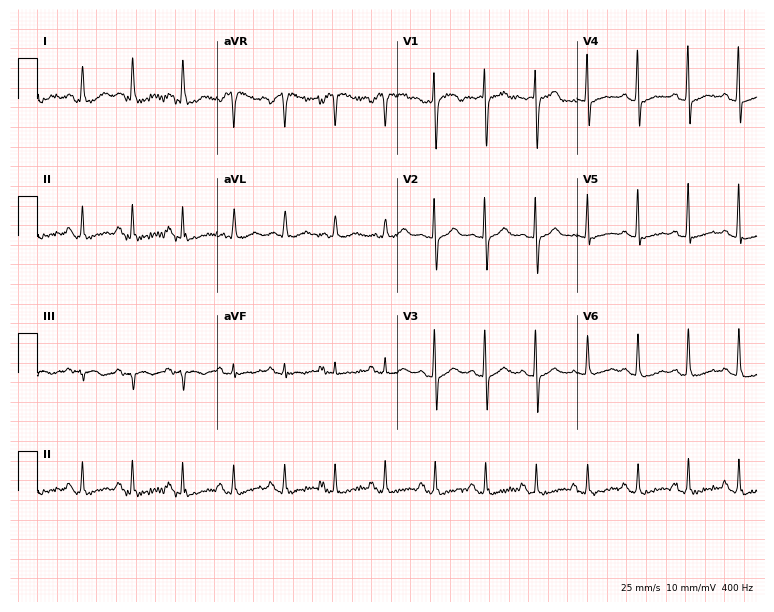
ECG — a woman, 59 years old. Findings include sinus tachycardia (a sinus rate of 100 beats per minute or more).